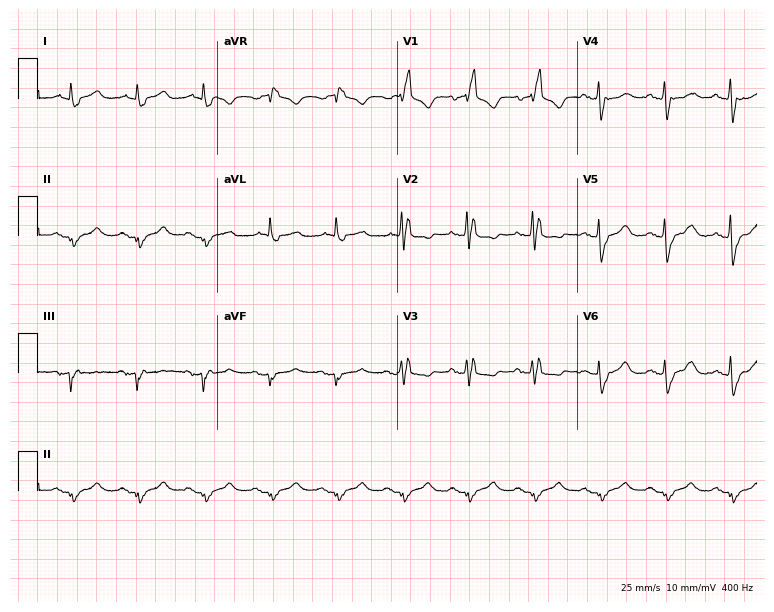
Standard 12-lead ECG recorded from an 83-year-old male (7.3-second recording at 400 Hz). The tracing shows right bundle branch block.